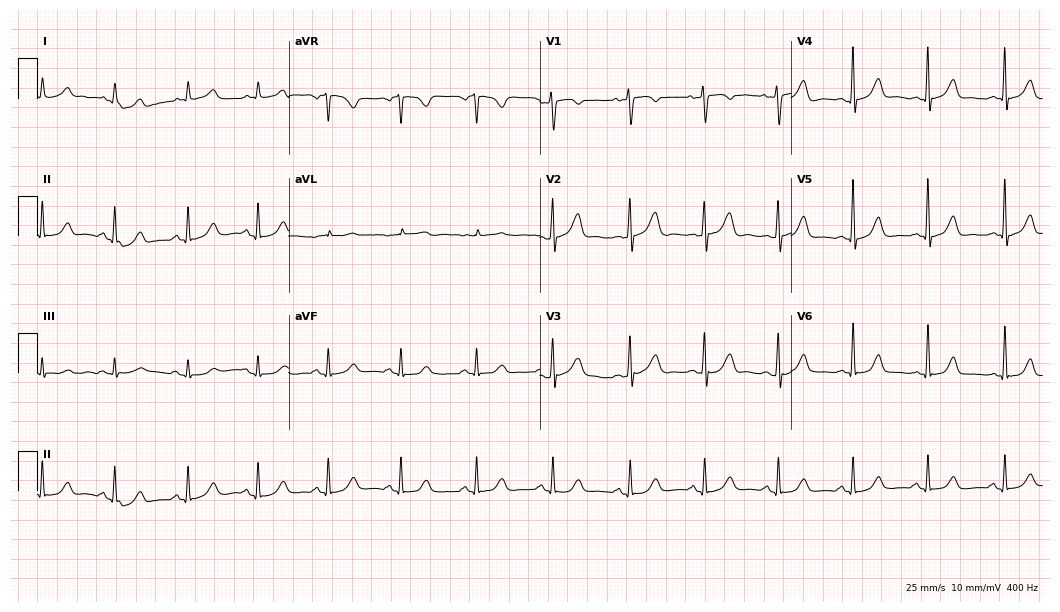
12-lead ECG from a 37-year-old female (10.2-second recording at 400 Hz). Recorded interpretation: within normal limits.